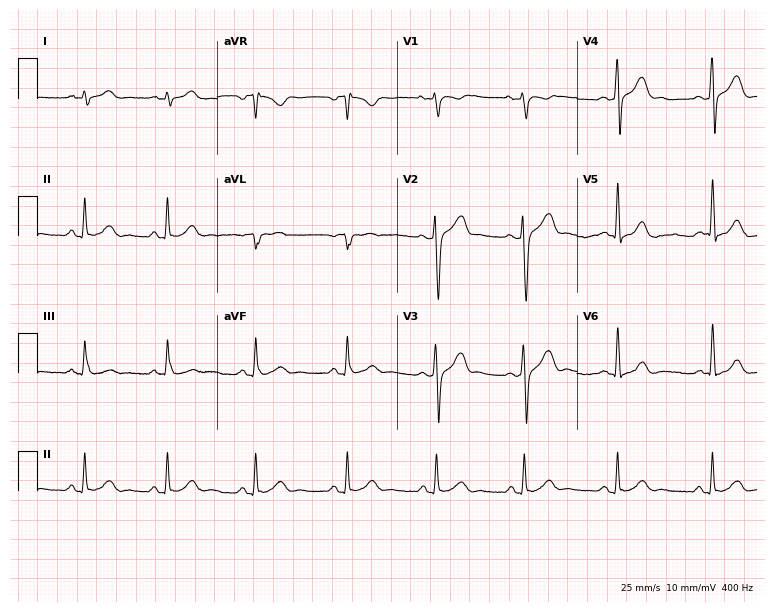
ECG — a male patient, 28 years old. Labelled as a normal ECG.